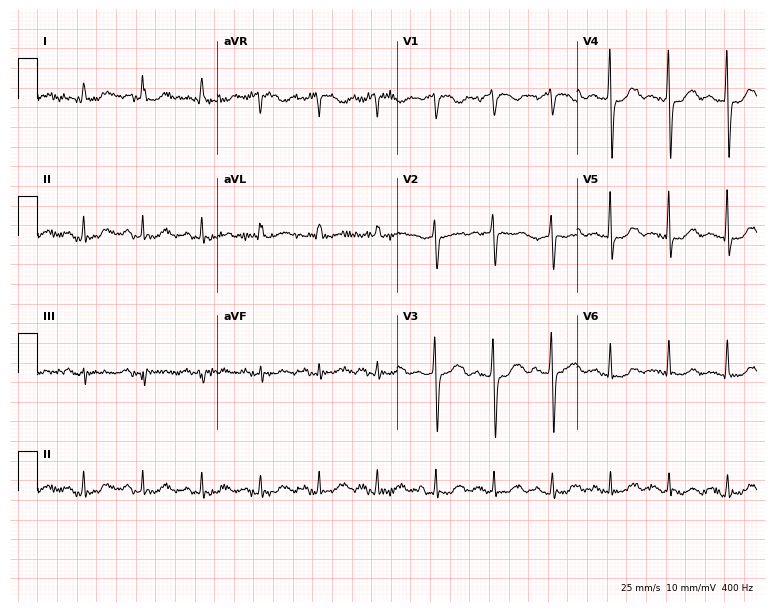
Standard 12-lead ECG recorded from a woman, 75 years old (7.3-second recording at 400 Hz). None of these six findings is recorded: first-degree AV block, right bundle branch block (RBBB), left bundle branch block (LBBB), sinus bradycardia, atrial fibrillation (AF), sinus tachycardia. Only these six findings were labelled.